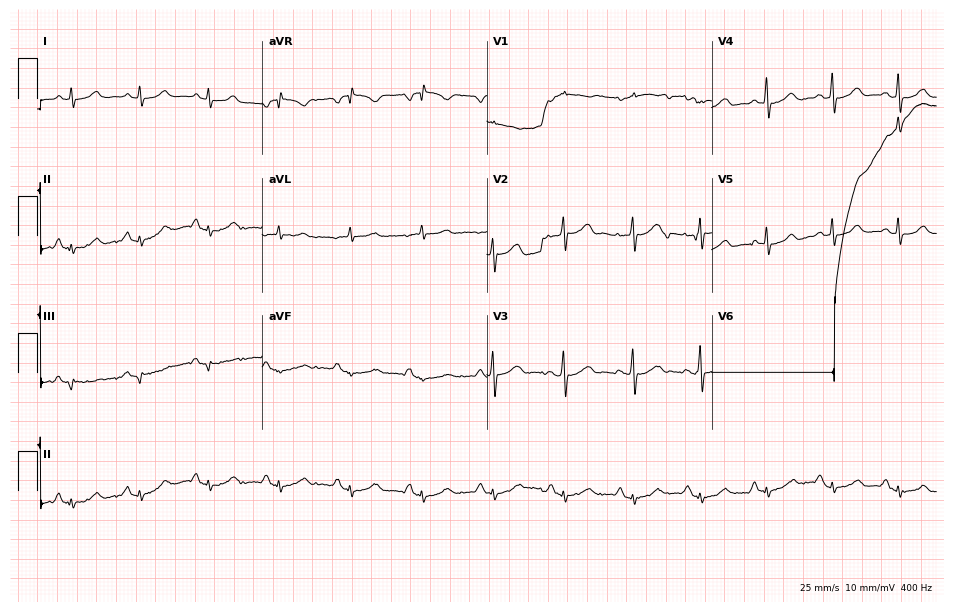
ECG — a woman, 74 years old. Screened for six findings — first-degree AV block, right bundle branch block (RBBB), left bundle branch block (LBBB), sinus bradycardia, atrial fibrillation (AF), sinus tachycardia — none is recorded. Findings outside these six are not listed.